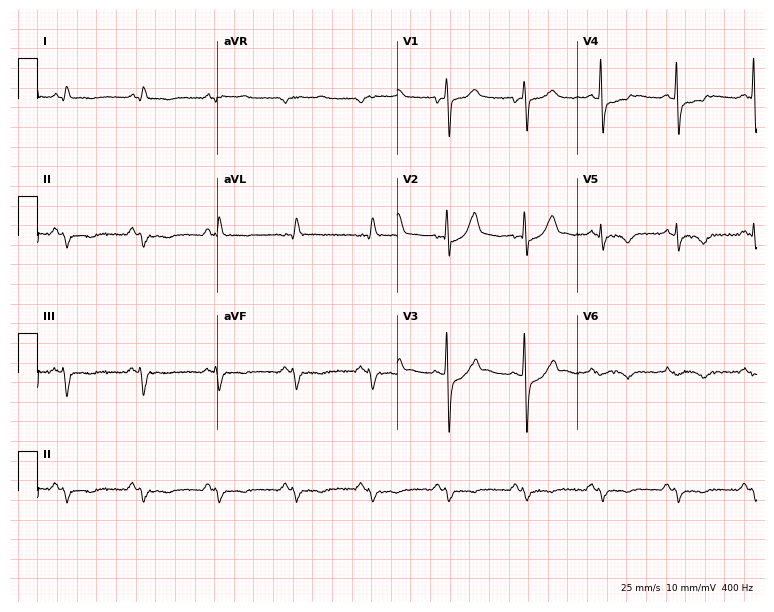
Standard 12-lead ECG recorded from an 82-year-old male (7.3-second recording at 400 Hz). None of these six findings is recorded: first-degree AV block, right bundle branch block, left bundle branch block, sinus bradycardia, atrial fibrillation, sinus tachycardia.